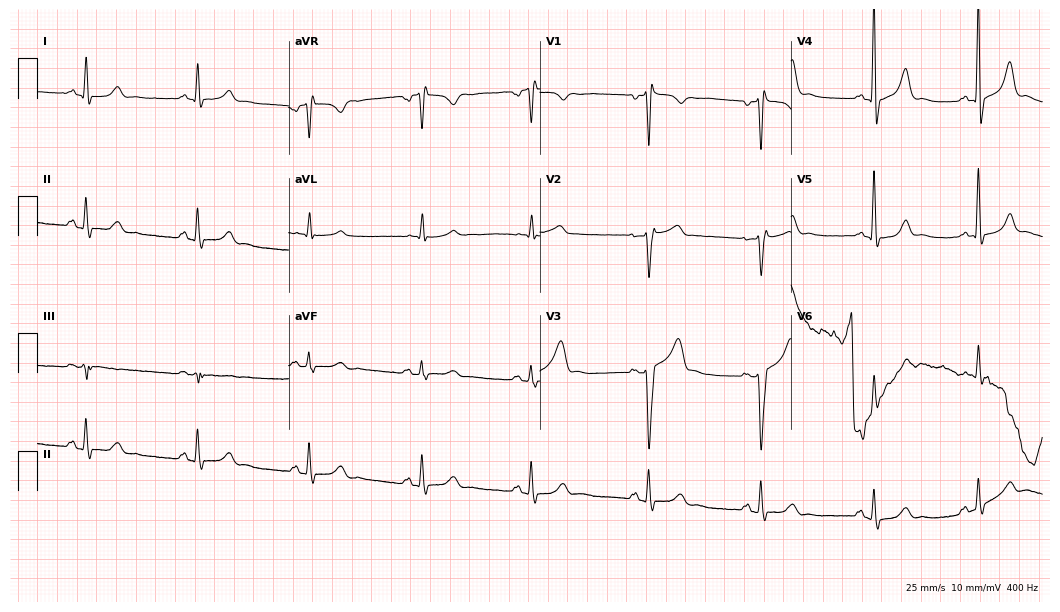
Standard 12-lead ECG recorded from a man, 52 years old. None of these six findings is recorded: first-degree AV block, right bundle branch block, left bundle branch block, sinus bradycardia, atrial fibrillation, sinus tachycardia.